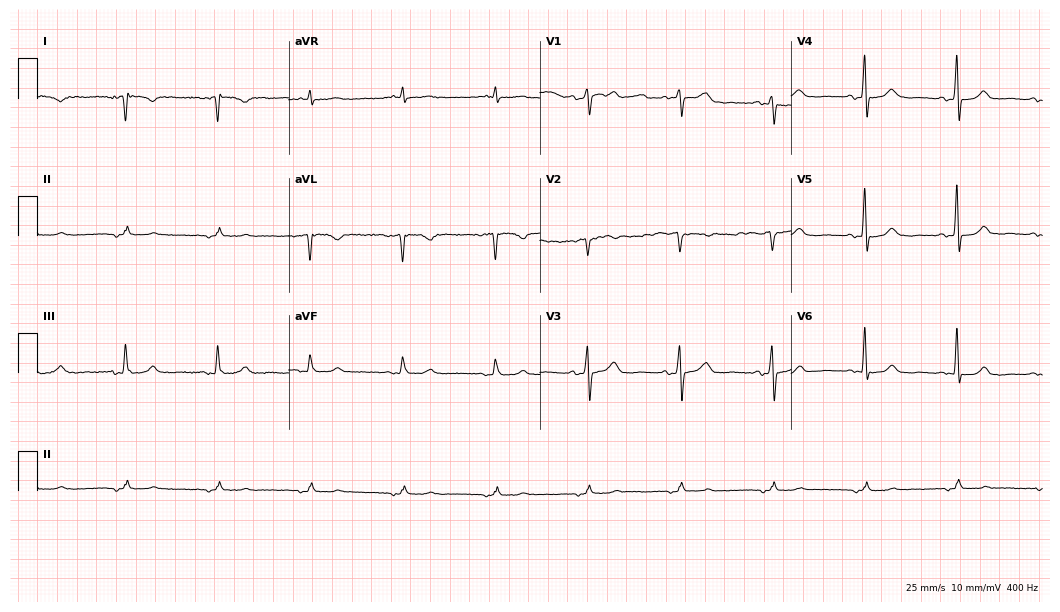
Standard 12-lead ECG recorded from a male, 83 years old. None of these six findings is recorded: first-degree AV block, right bundle branch block, left bundle branch block, sinus bradycardia, atrial fibrillation, sinus tachycardia.